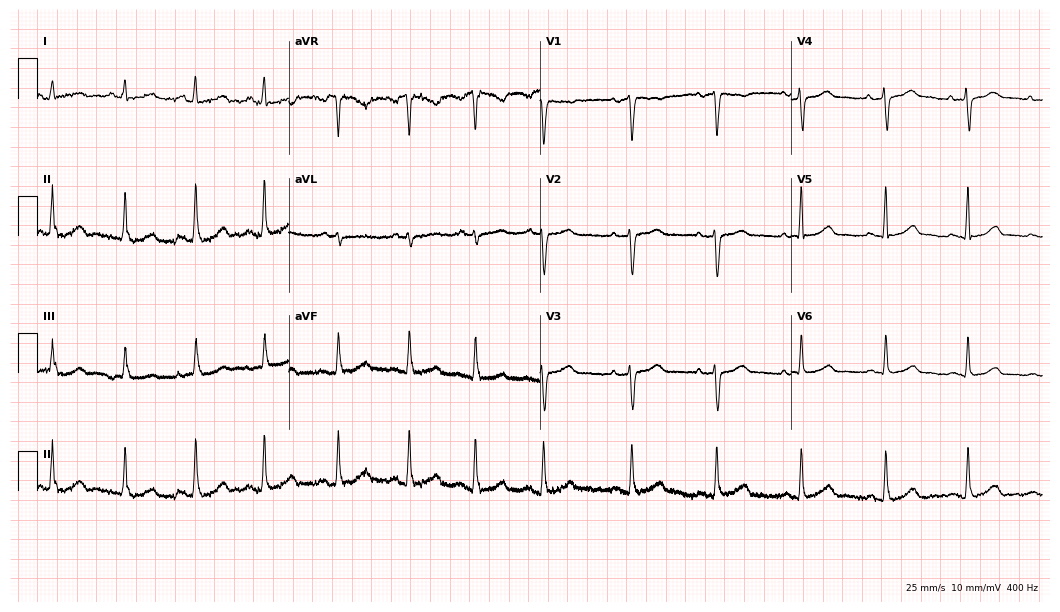
ECG — a female, 38 years old. Labelled as a normal ECG.